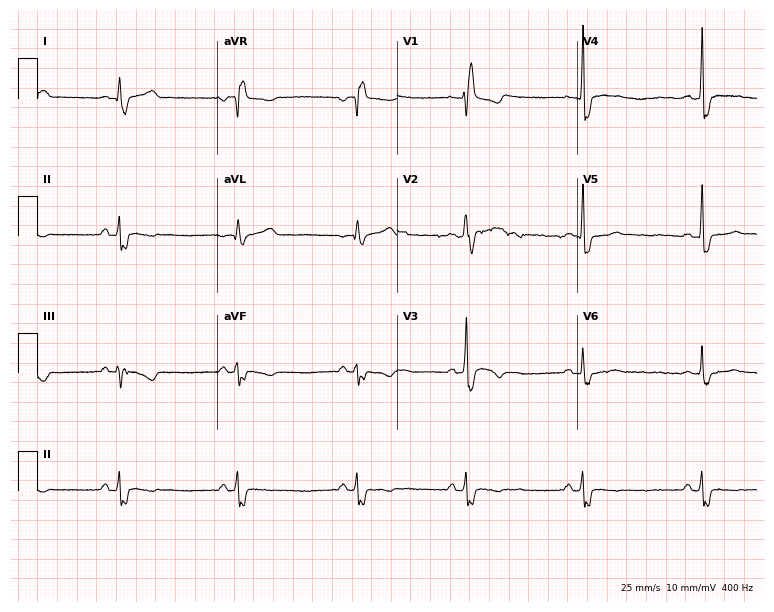
Standard 12-lead ECG recorded from a male, 24 years old (7.3-second recording at 400 Hz). The tracing shows right bundle branch block.